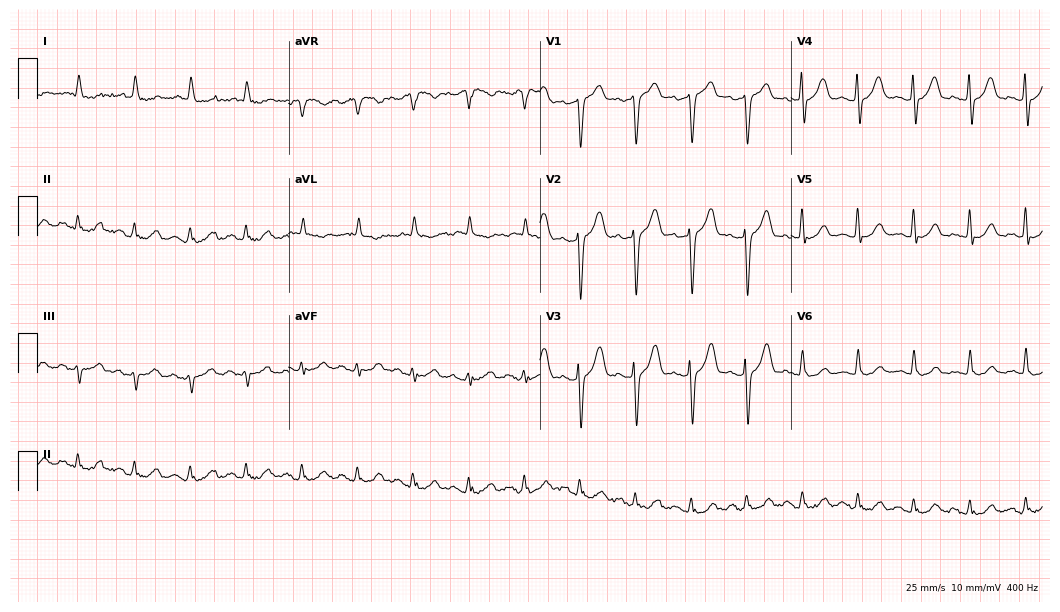
Electrocardiogram, an 84-year-old male patient. Of the six screened findings (first-degree AV block, right bundle branch block, left bundle branch block, sinus bradycardia, atrial fibrillation, sinus tachycardia), none is recorded.